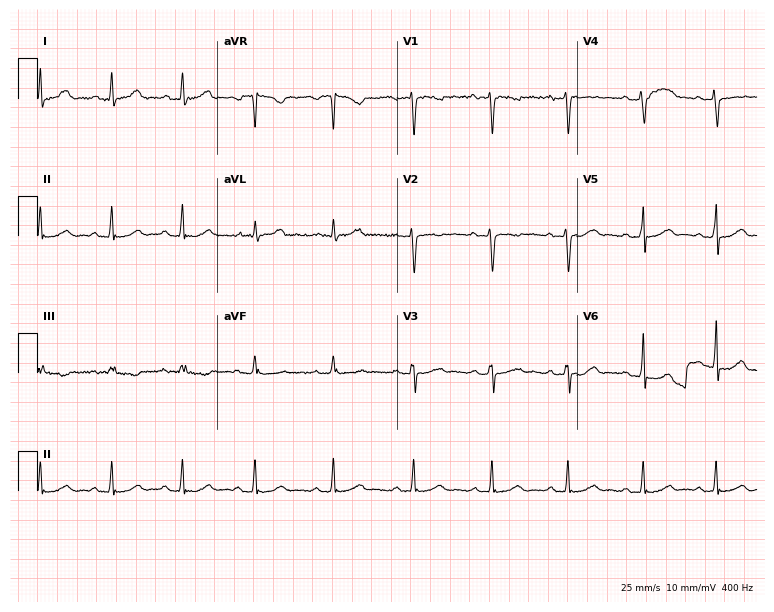
Standard 12-lead ECG recorded from a 27-year-old woman. None of these six findings is recorded: first-degree AV block, right bundle branch block, left bundle branch block, sinus bradycardia, atrial fibrillation, sinus tachycardia. Findings outside these six are not listed.